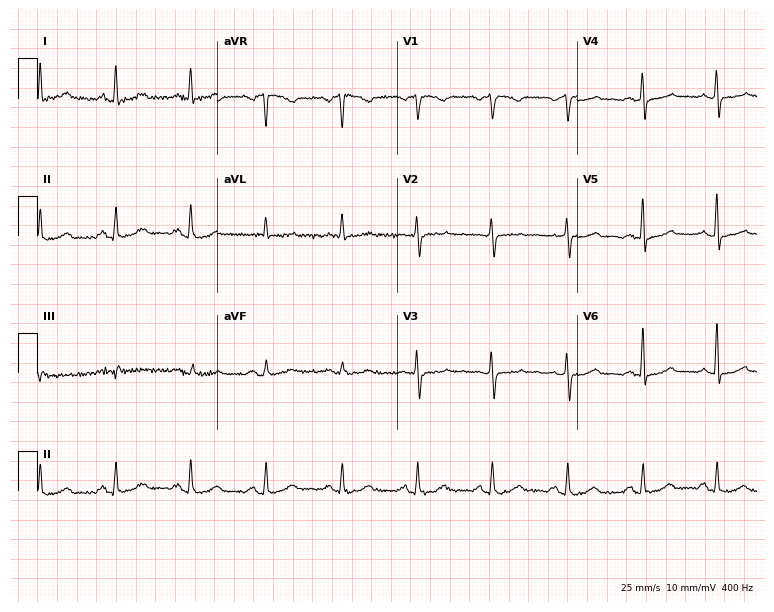
Standard 12-lead ECG recorded from a 47-year-old woman. Read as a normal ECG.